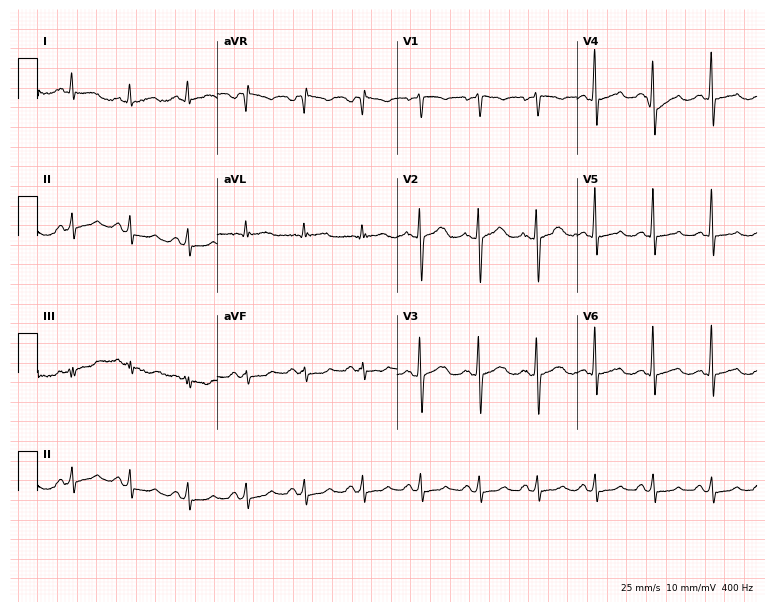
ECG (7.3-second recording at 400 Hz) — a 44-year-old female patient. Screened for six findings — first-degree AV block, right bundle branch block, left bundle branch block, sinus bradycardia, atrial fibrillation, sinus tachycardia — none is recorded. Findings outside these six are not listed.